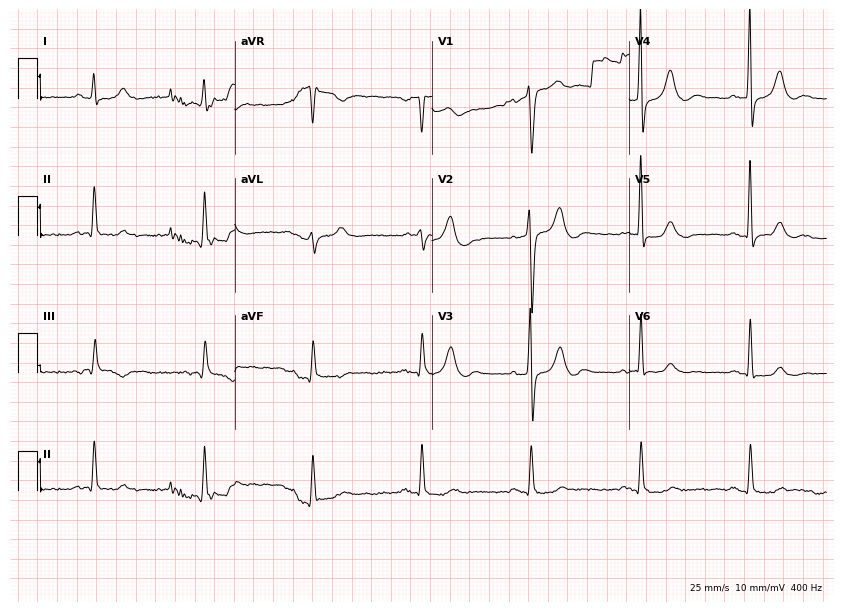
Electrocardiogram (8-second recording at 400 Hz), a male, 83 years old. Of the six screened findings (first-degree AV block, right bundle branch block, left bundle branch block, sinus bradycardia, atrial fibrillation, sinus tachycardia), none is recorded.